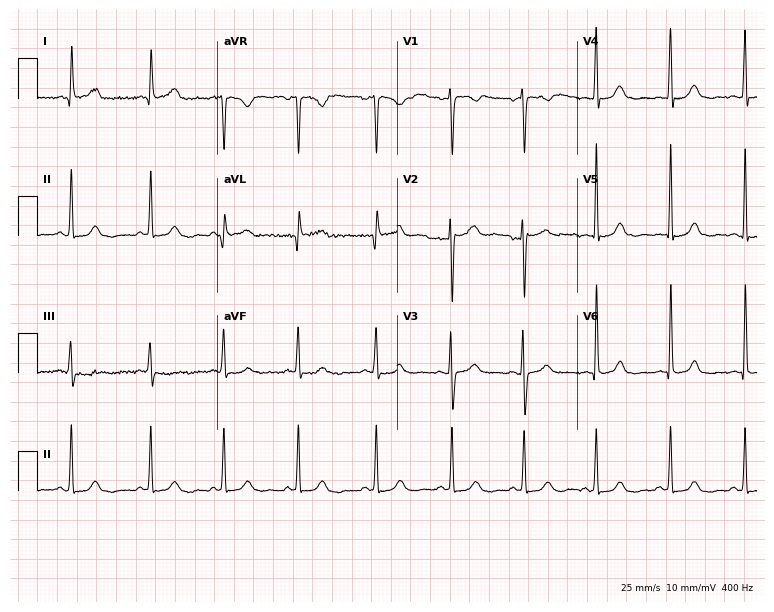
ECG (7.3-second recording at 400 Hz) — a female, 34 years old. Screened for six findings — first-degree AV block, right bundle branch block (RBBB), left bundle branch block (LBBB), sinus bradycardia, atrial fibrillation (AF), sinus tachycardia — none is recorded. Only these six findings were labelled.